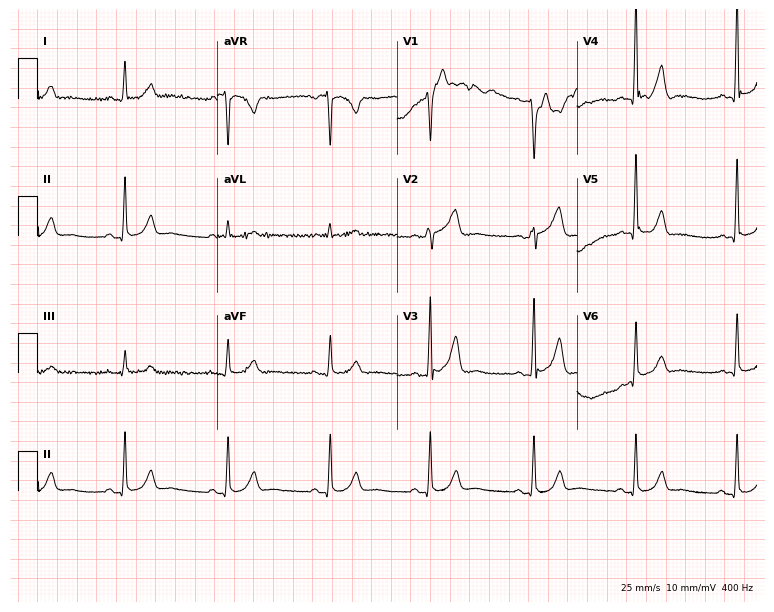
Standard 12-lead ECG recorded from a man, 55 years old (7.3-second recording at 400 Hz). None of these six findings is recorded: first-degree AV block, right bundle branch block, left bundle branch block, sinus bradycardia, atrial fibrillation, sinus tachycardia.